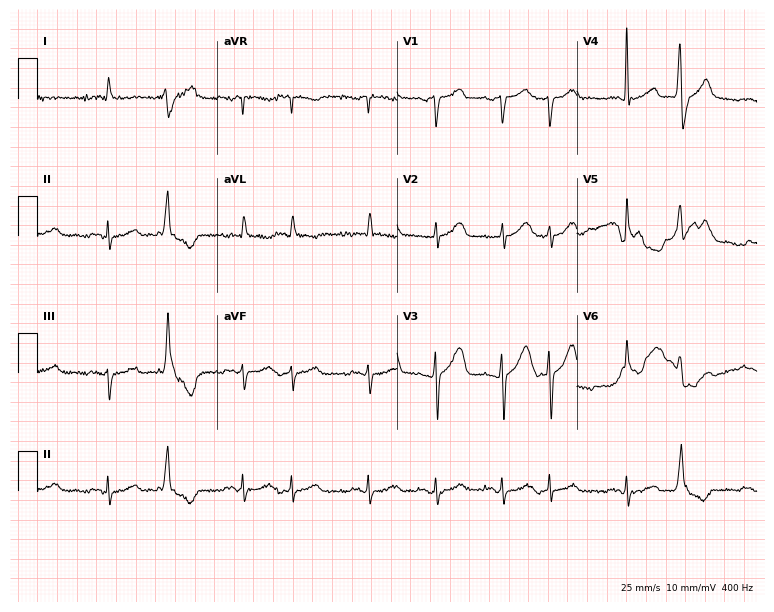
Standard 12-lead ECG recorded from an 84-year-old male (7.3-second recording at 400 Hz). None of these six findings is recorded: first-degree AV block, right bundle branch block, left bundle branch block, sinus bradycardia, atrial fibrillation, sinus tachycardia. Findings outside these six are not listed.